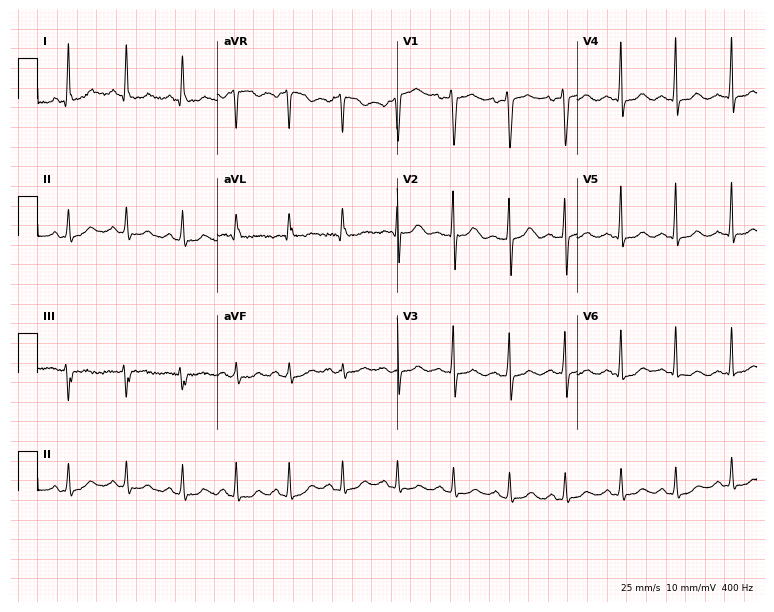
12-lead ECG from a 39-year-old female (7.3-second recording at 400 Hz). No first-degree AV block, right bundle branch block (RBBB), left bundle branch block (LBBB), sinus bradycardia, atrial fibrillation (AF) or sinus tachycardia recorded for this tracing. Only these six findings were labelled.